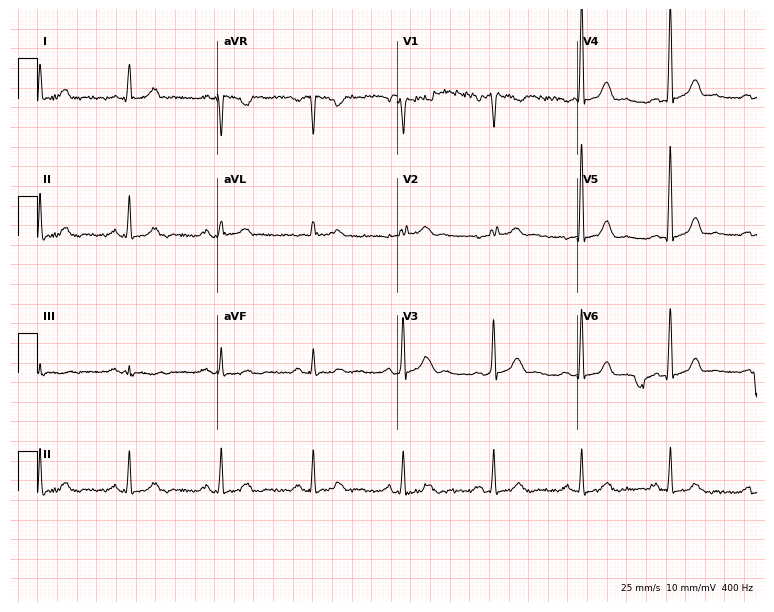
12-lead ECG from a male, 55 years old. No first-degree AV block, right bundle branch block, left bundle branch block, sinus bradycardia, atrial fibrillation or sinus tachycardia recorded for this tracing. Findings outside these six are not listed.